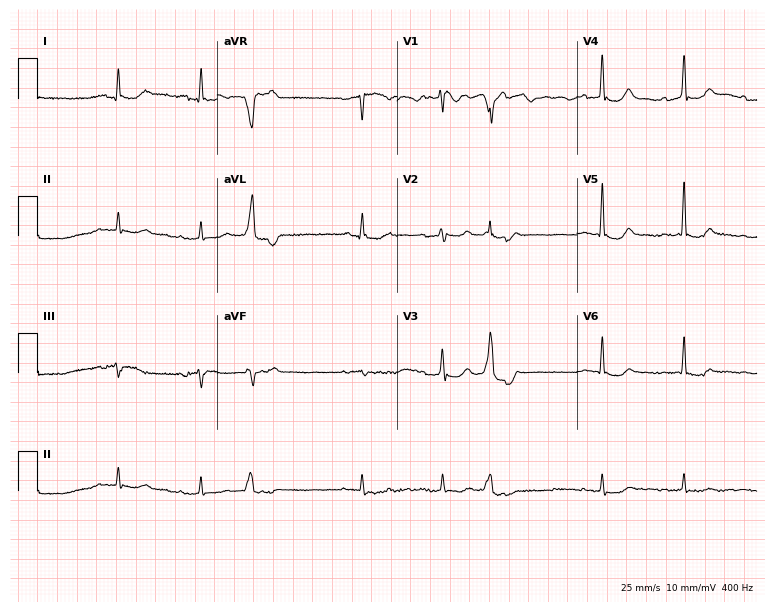
12-lead ECG from a 67-year-old male (7.3-second recording at 400 Hz). No first-degree AV block, right bundle branch block, left bundle branch block, sinus bradycardia, atrial fibrillation or sinus tachycardia recorded for this tracing. Findings outside these six are not listed.